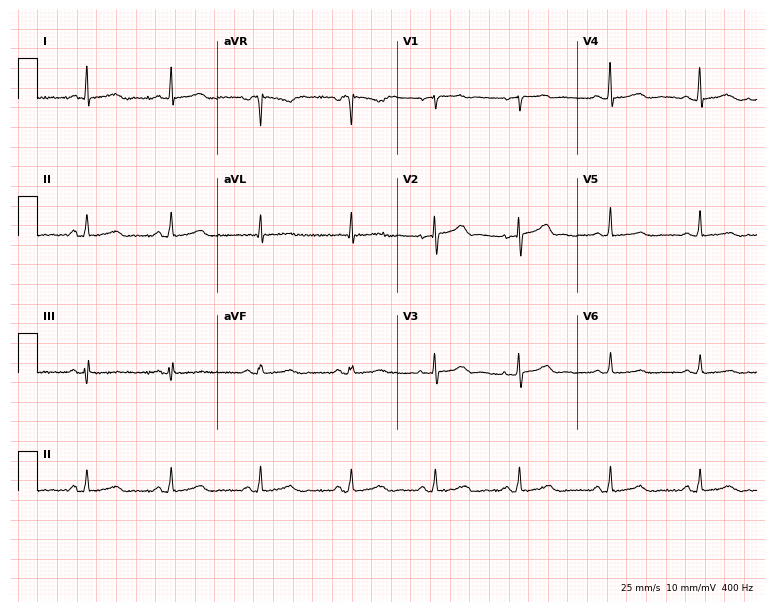
12-lead ECG from a 66-year-old female. No first-degree AV block, right bundle branch block, left bundle branch block, sinus bradycardia, atrial fibrillation or sinus tachycardia recorded for this tracing.